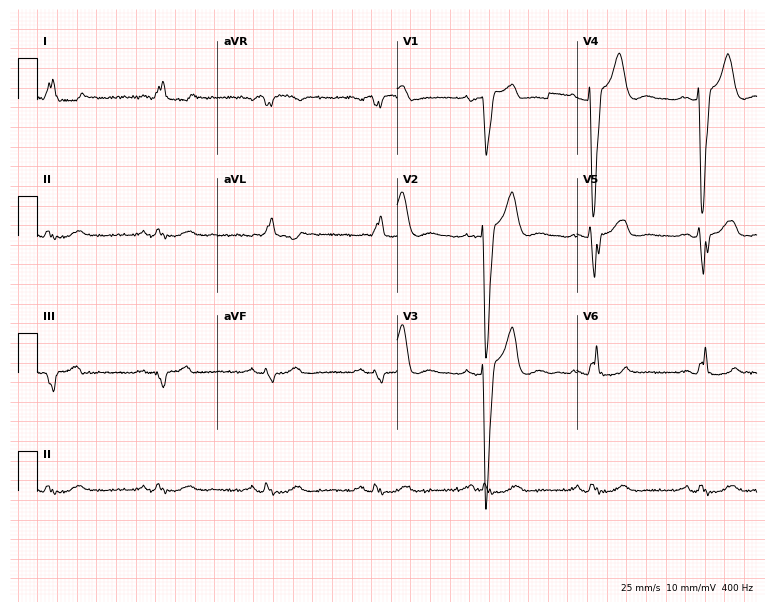
Resting 12-lead electrocardiogram. Patient: a 69-year-old male. The tracing shows left bundle branch block.